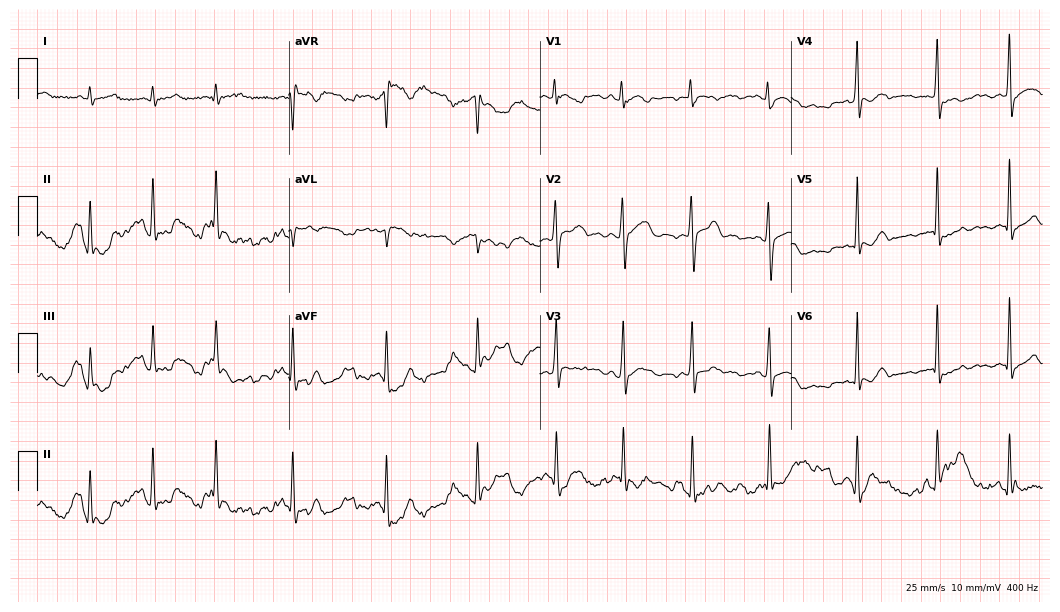
Standard 12-lead ECG recorded from a female patient, 22 years old (10.2-second recording at 400 Hz). Read as a normal ECG.